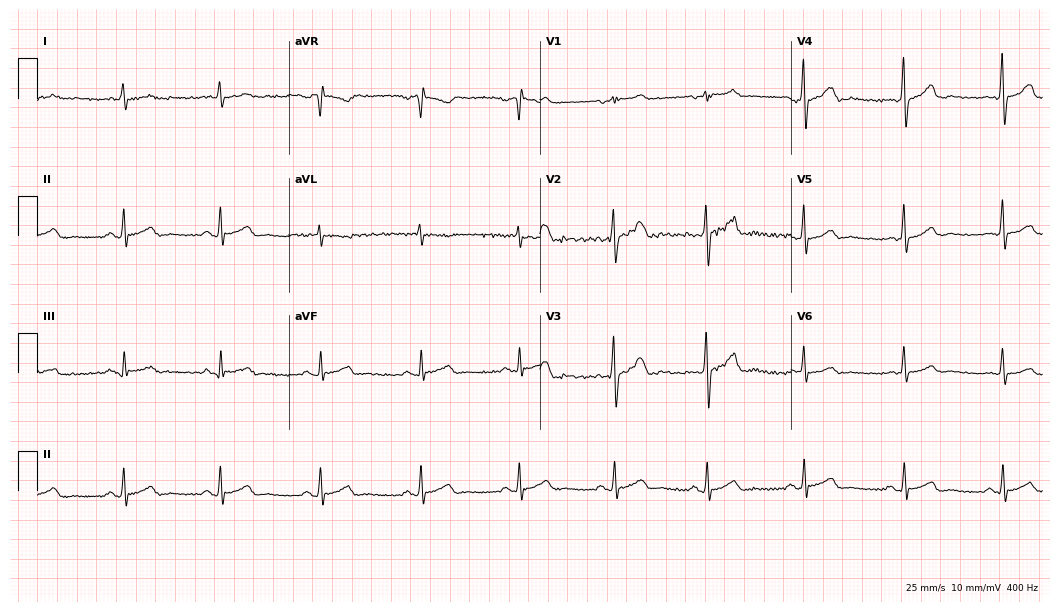
12-lead ECG from a male patient, 46 years old. Labelled as a normal ECG.